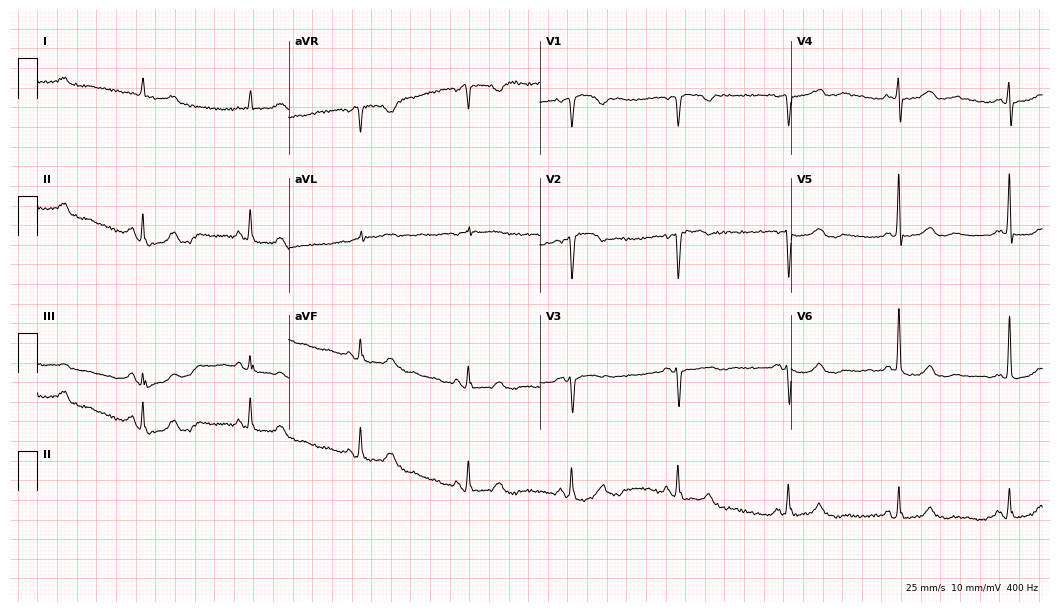
Electrocardiogram (10.2-second recording at 400 Hz), a woman, 67 years old. Of the six screened findings (first-degree AV block, right bundle branch block, left bundle branch block, sinus bradycardia, atrial fibrillation, sinus tachycardia), none is recorded. Only these six findings were labelled.